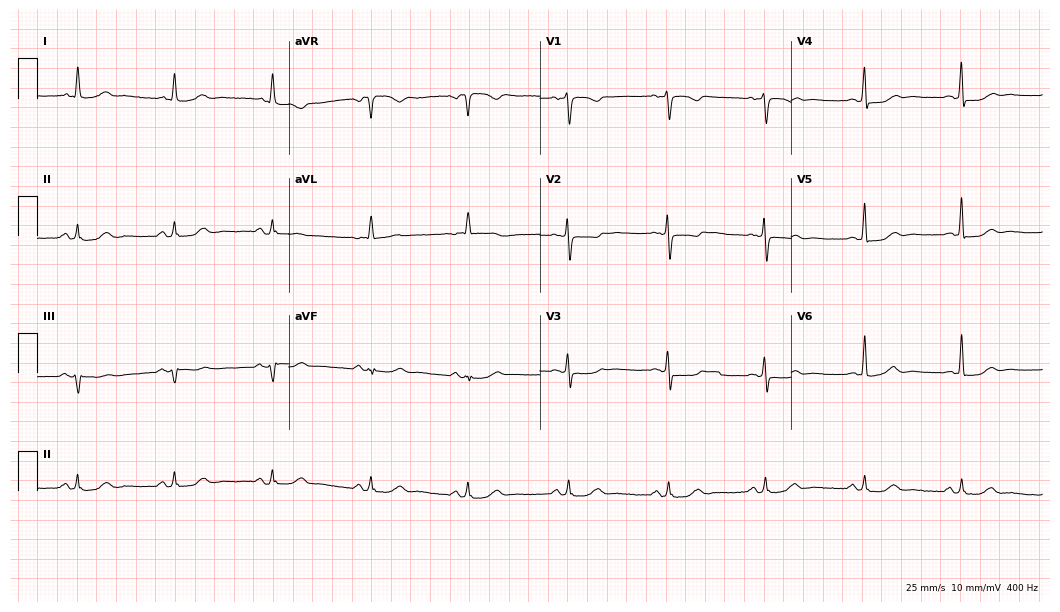
ECG — a 67-year-old female patient. Screened for six findings — first-degree AV block, right bundle branch block, left bundle branch block, sinus bradycardia, atrial fibrillation, sinus tachycardia — none is recorded.